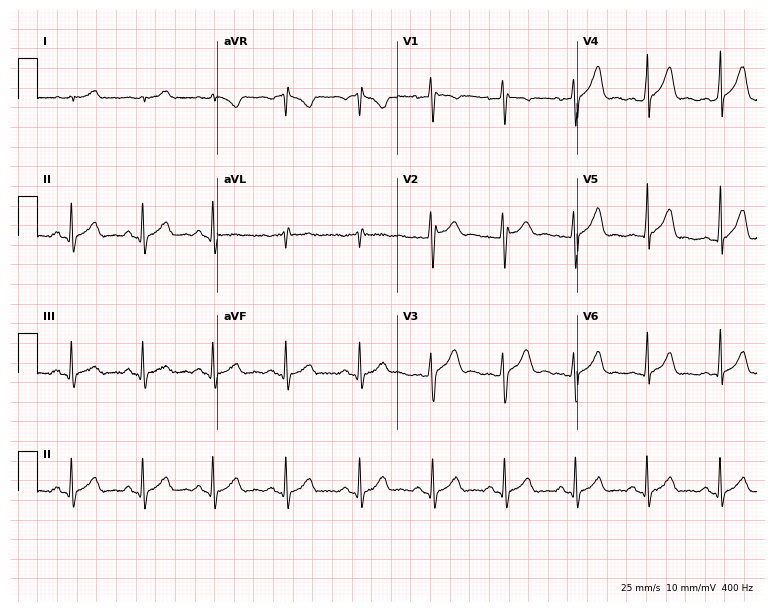
12-lead ECG (7.3-second recording at 400 Hz) from a male, 25 years old. Labelled as a normal ECG.